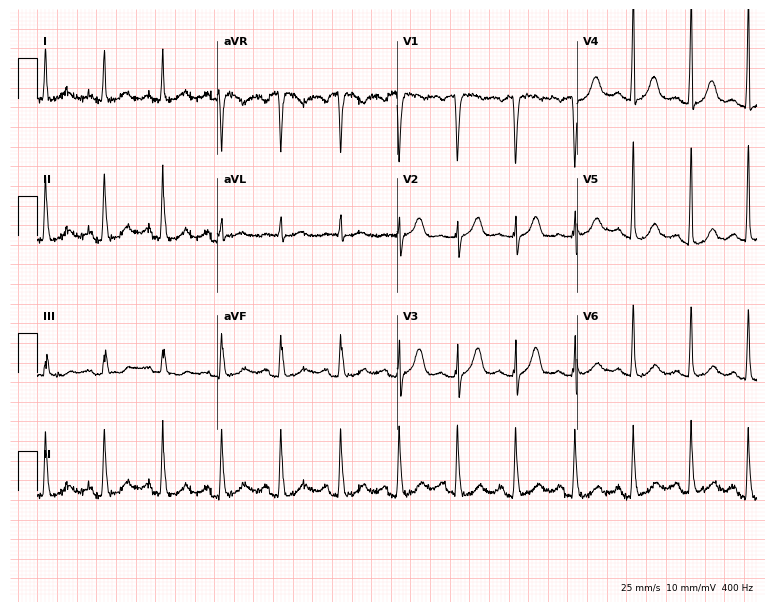
Electrocardiogram (7.3-second recording at 400 Hz), a male, 80 years old. Of the six screened findings (first-degree AV block, right bundle branch block (RBBB), left bundle branch block (LBBB), sinus bradycardia, atrial fibrillation (AF), sinus tachycardia), none is recorded. Only these six findings were labelled.